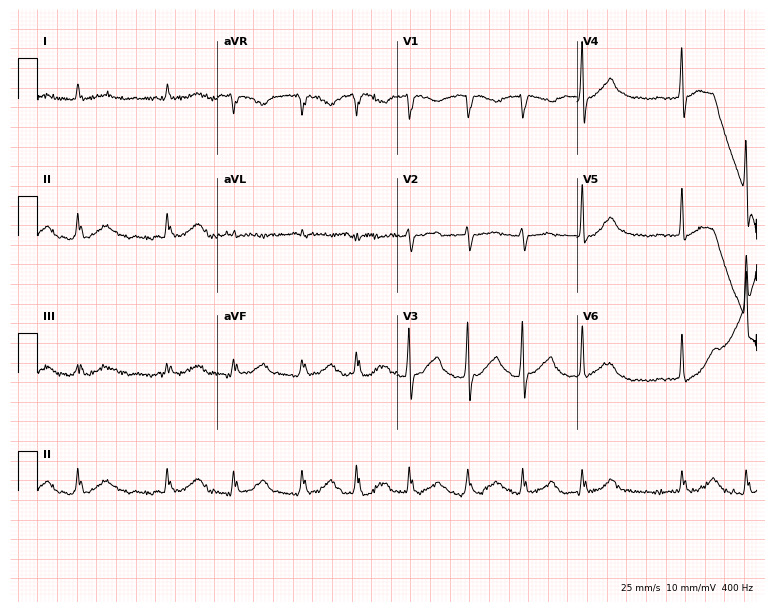
12-lead ECG (7.3-second recording at 400 Hz) from a man, 77 years old. Findings include atrial fibrillation.